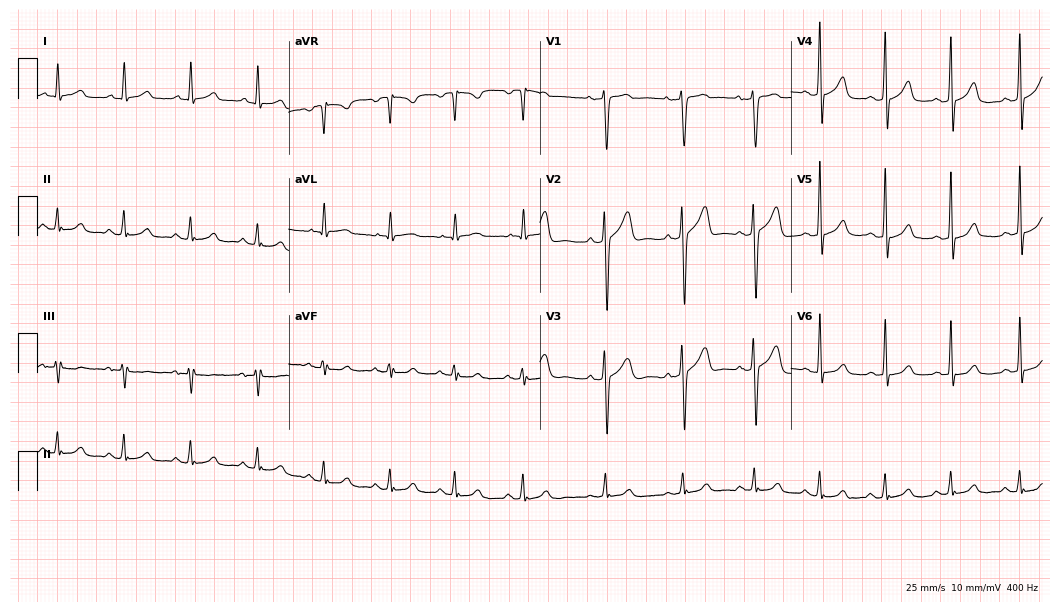
12-lead ECG (10.2-second recording at 400 Hz) from a man, 46 years old. Labelled as a normal ECG.